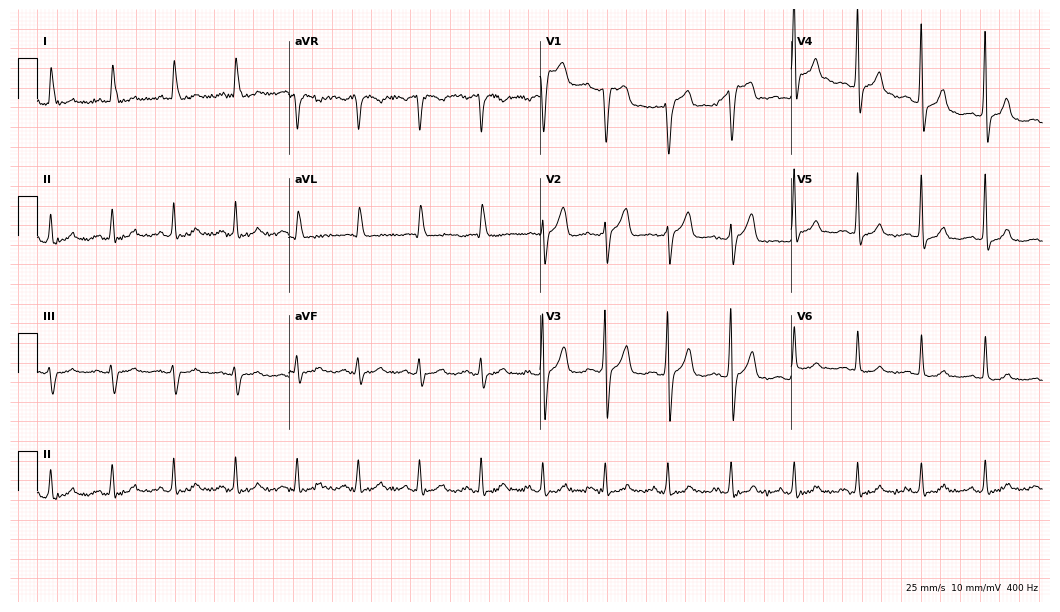
Electrocardiogram (10.2-second recording at 400 Hz), a 67-year-old man. Overall reading on record: normal ECG.